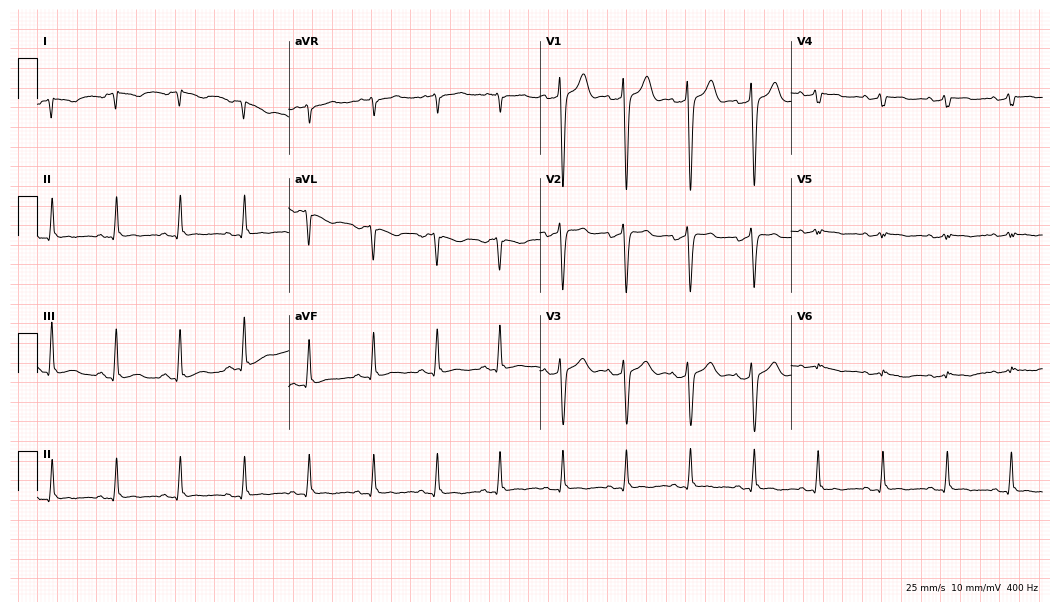
Resting 12-lead electrocardiogram. Patient: a 51-year-old man. None of these six findings is recorded: first-degree AV block, right bundle branch block, left bundle branch block, sinus bradycardia, atrial fibrillation, sinus tachycardia. Other findings, if any, are not listed.